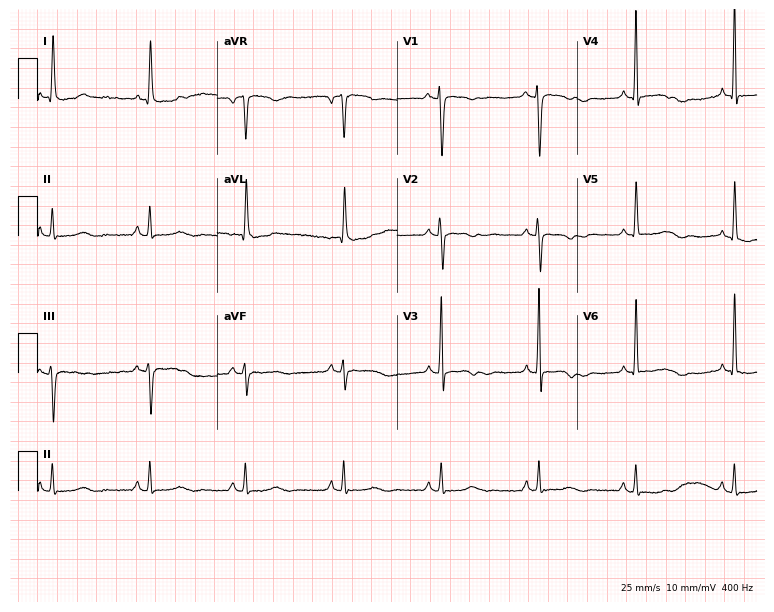
Standard 12-lead ECG recorded from an 85-year-old female. None of these six findings is recorded: first-degree AV block, right bundle branch block (RBBB), left bundle branch block (LBBB), sinus bradycardia, atrial fibrillation (AF), sinus tachycardia.